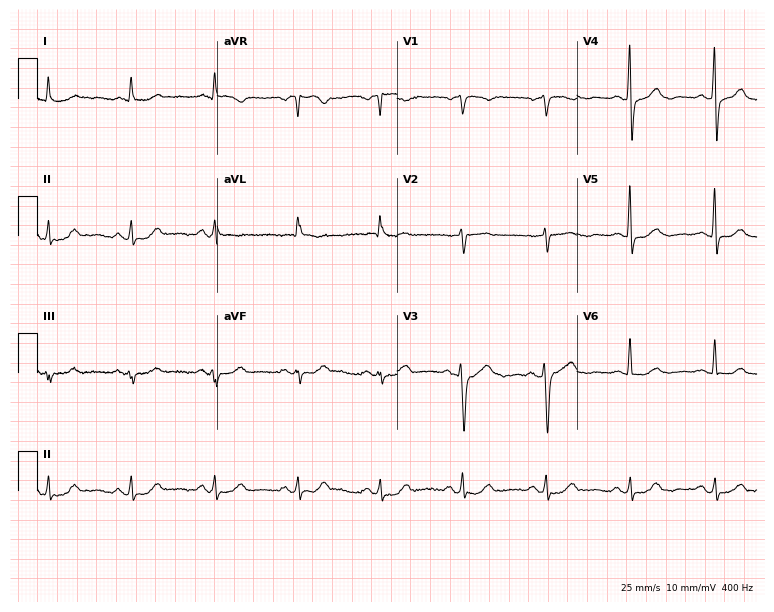
12-lead ECG from a man, 78 years old. Recorded interpretation: within normal limits.